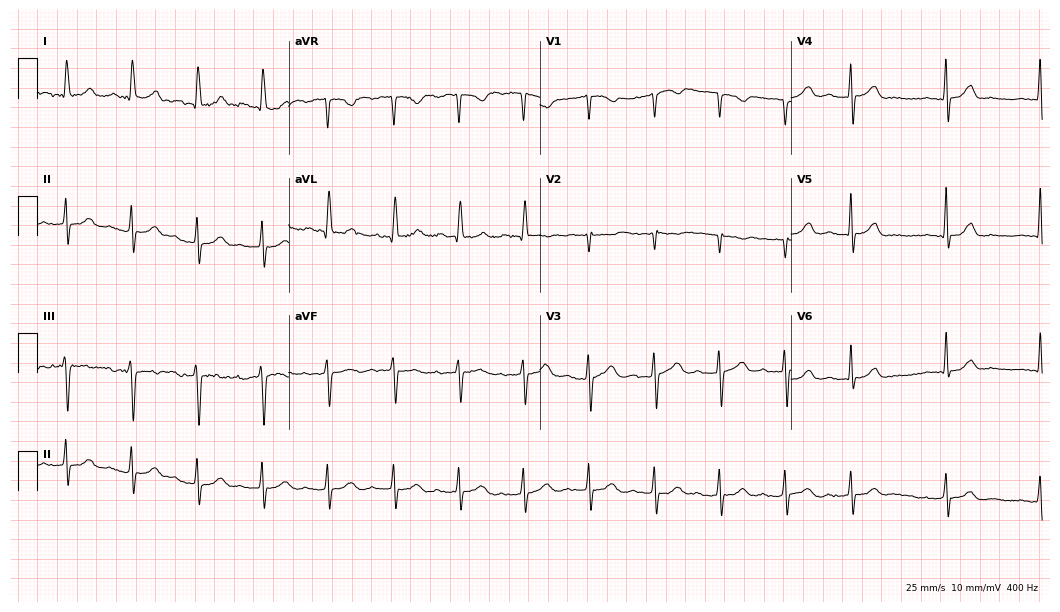
Standard 12-lead ECG recorded from a female, 83 years old. Read as a normal ECG.